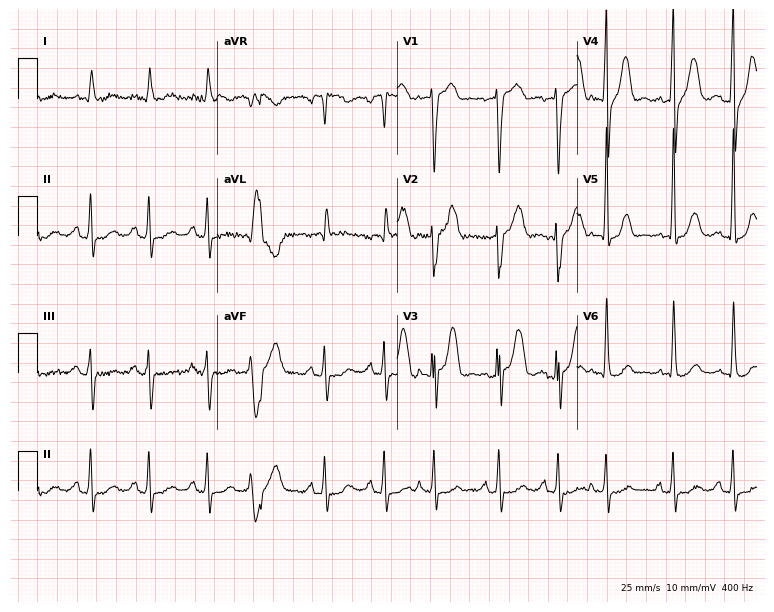
ECG — a 73-year-old male patient. Screened for six findings — first-degree AV block, right bundle branch block, left bundle branch block, sinus bradycardia, atrial fibrillation, sinus tachycardia — none is recorded. Findings outside these six are not listed.